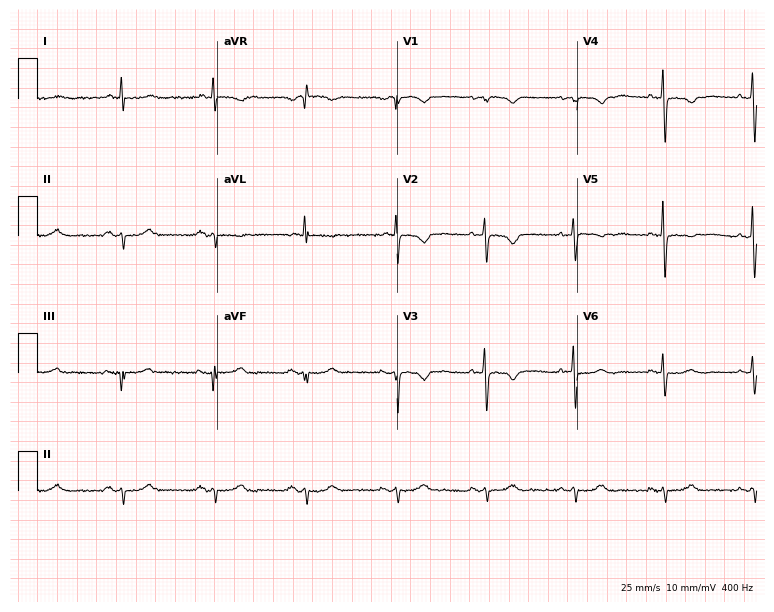
Electrocardiogram, a 74-year-old woman. Of the six screened findings (first-degree AV block, right bundle branch block, left bundle branch block, sinus bradycardia, atrial fibrillation, sinus tachycardia), none is recorded. Only these six findings were labelled.